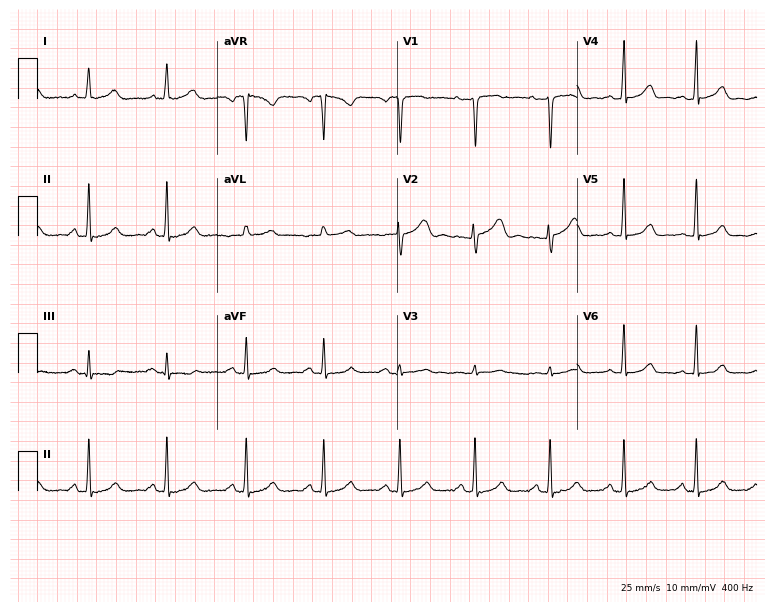
12-lead ECG from a 36-year-old female patient (7.3-second recording at 400 Hz). Recorded interpretation: within normal limits.